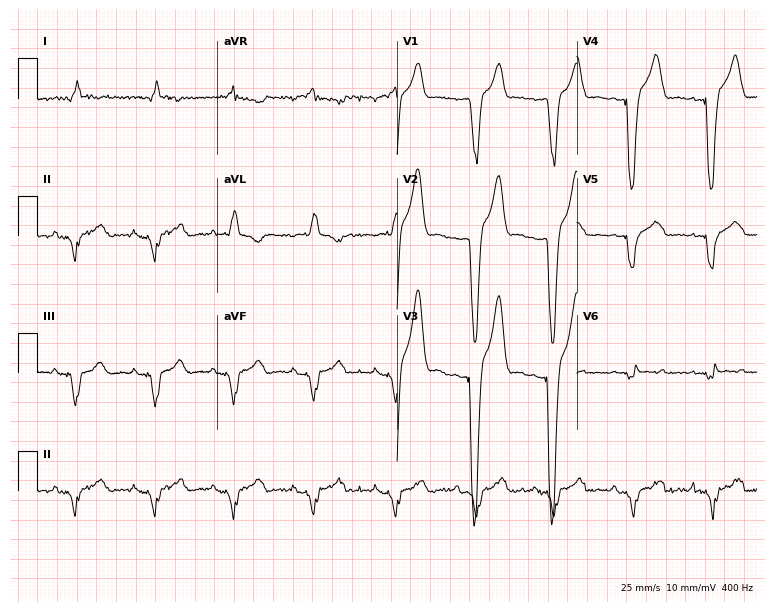
Resting 12-lead electrocardiogram. Patient: a 38-year-old man. None of these six findings is recorded: first-degree AV block, right bundle branch block, left bundle branch block, sinus bradycardia, atrial fibrillation, sinus tachycardia.